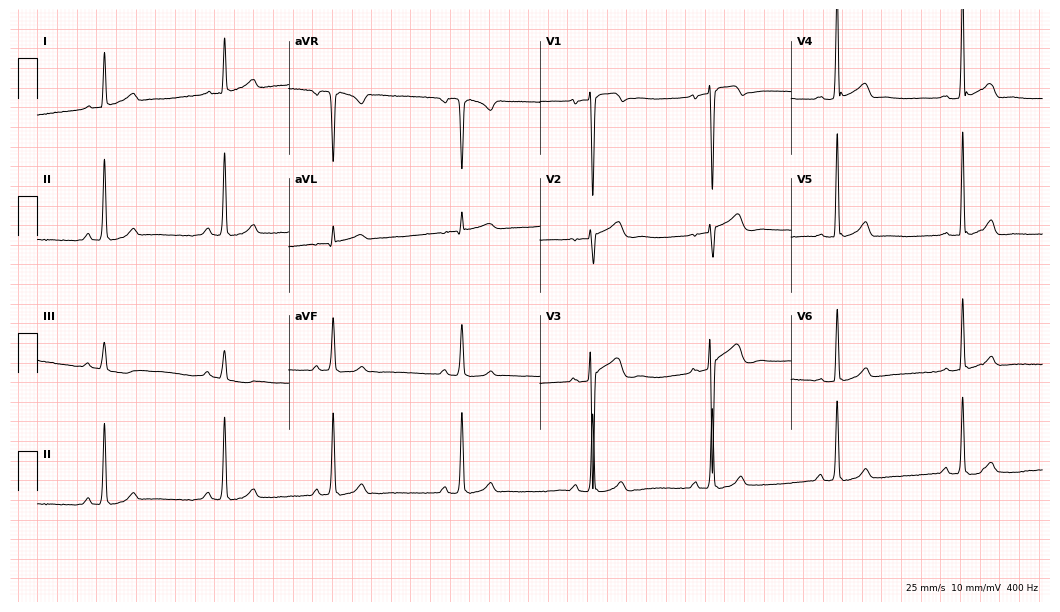
12-lead ECG (10.2-second recording at 400 Hz) from a male, 25 years old. Findings include sinus bradycardia (a sinus rate of 50 beats per minute or less).